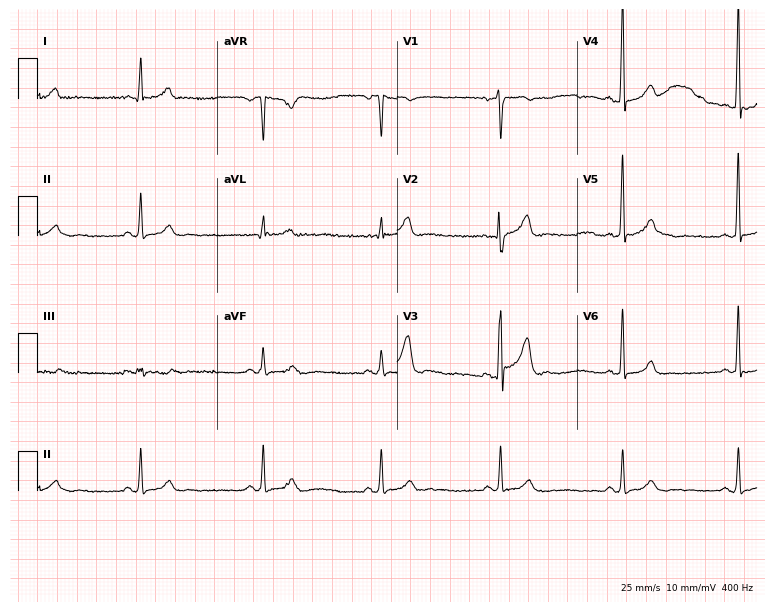
Resting 12-lead electrocardiogram (7.3-second recording at 400 Hz). Patient: a male, 49 years old. The tracing shows sinus bradycardia (a sinus rate of 50 beats per minute or less).